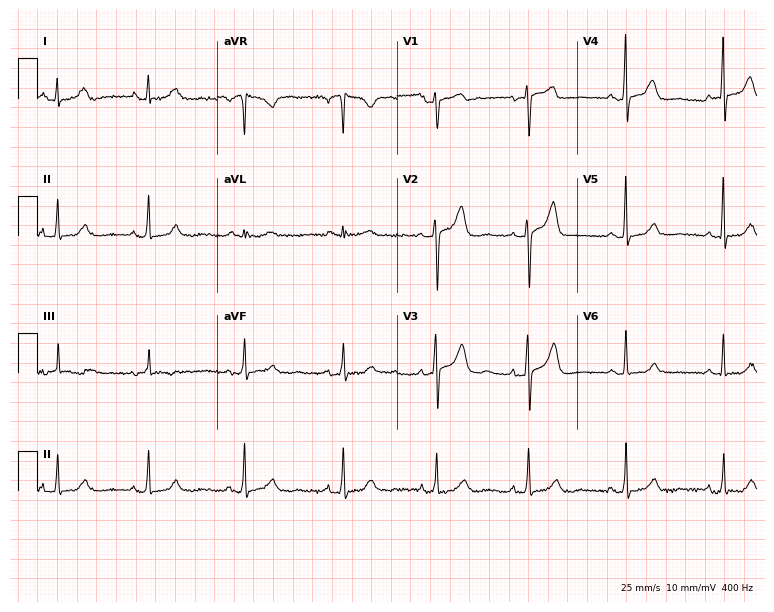
ECG (7.3-second recording at 400 Hz) — a female, 63 years old. Labelled as a normal ECG.